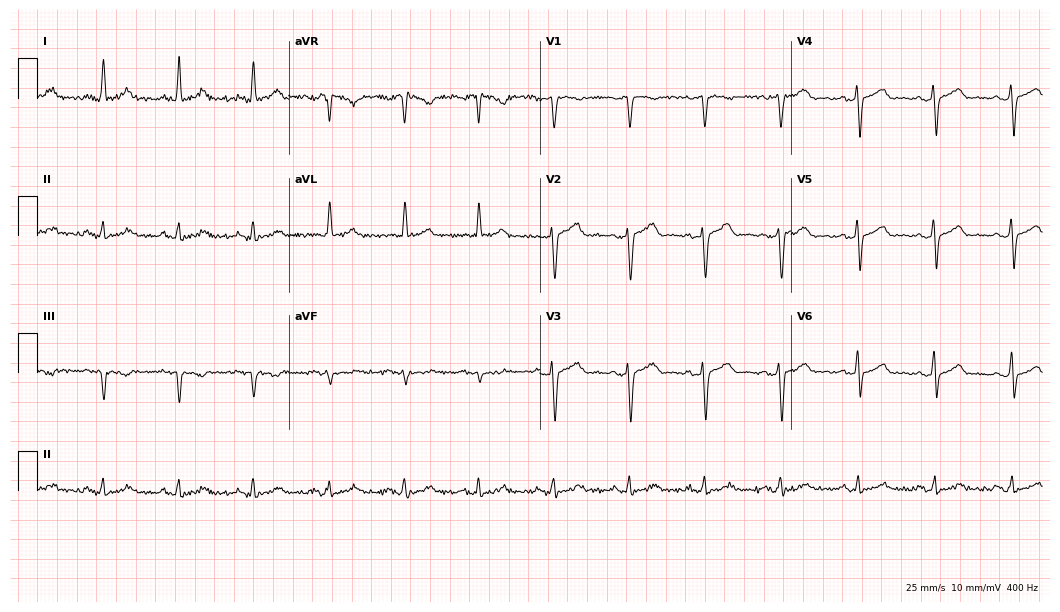
Resting 12-lead electrocardiogram (10.2-second recording at 400 Hz). Patient: a 56-year-old male. Read as a normal ECG.